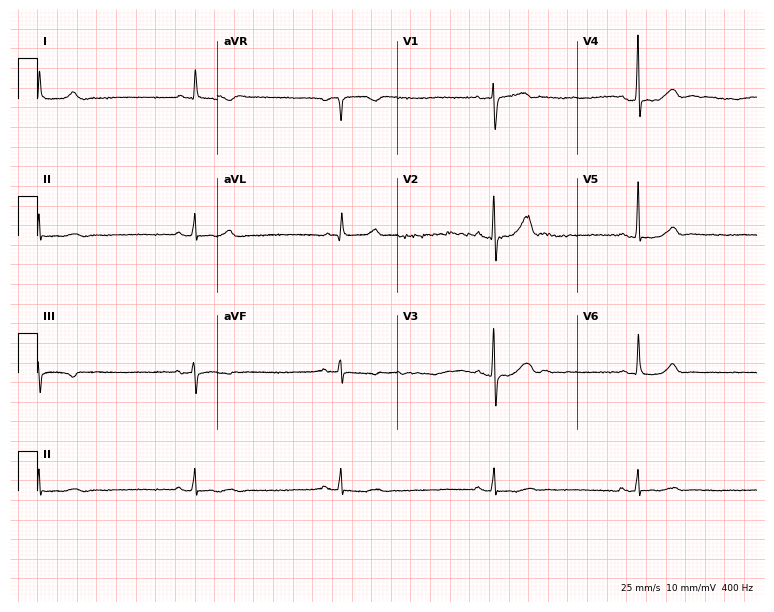
Resting 12-lead electrocardiogram. Patient: a male, 84 years old. The tracing shows sinus bradycardia (a sinus rate of 50 beats per minute or less).